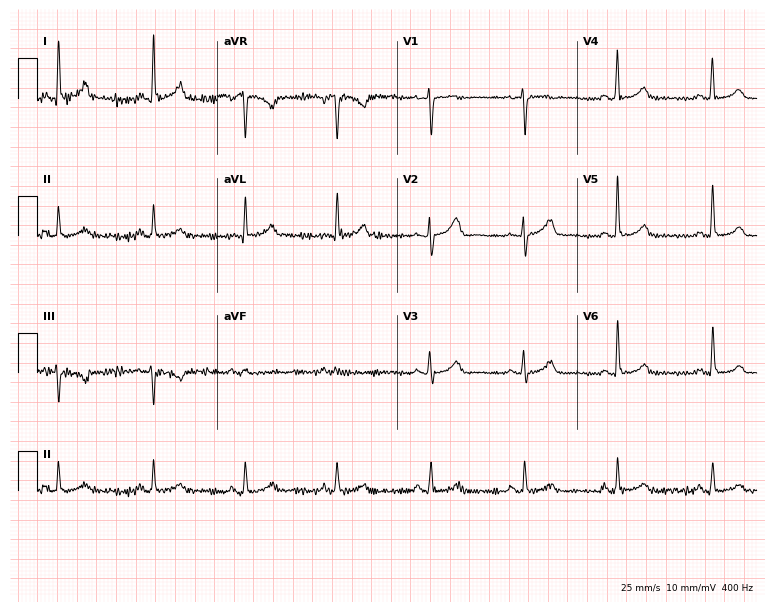
Electrocardiogram, a 55-year-old female. Overall reading on record: normal ECG.